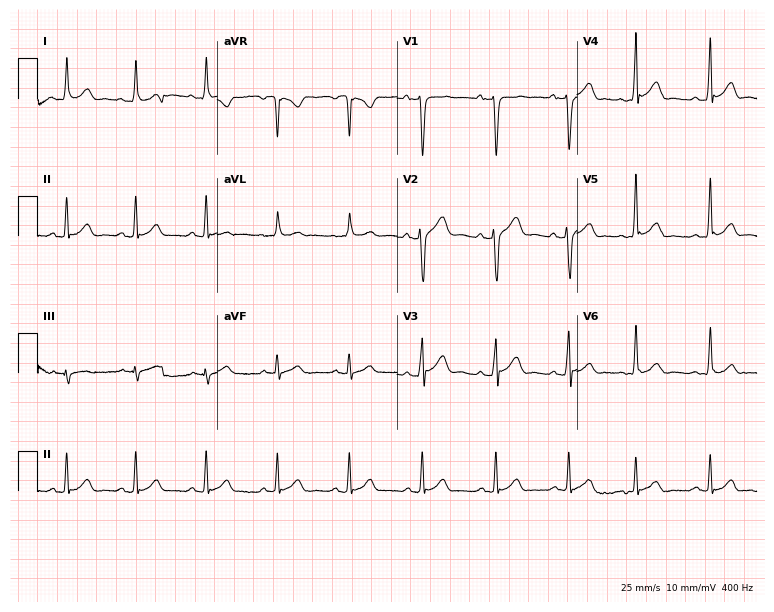
12-lead ECG from a male patient, 40 years old (7.3-second recording at 400 Hz). No first-degree AV block, right bundle branch block (RBBB), left bundle branch block (LBBB), sinus bradycardia, atrial fibrillation (AF) or sinus tachycardia recorded for this tracing. Findings outside these six are not listed.